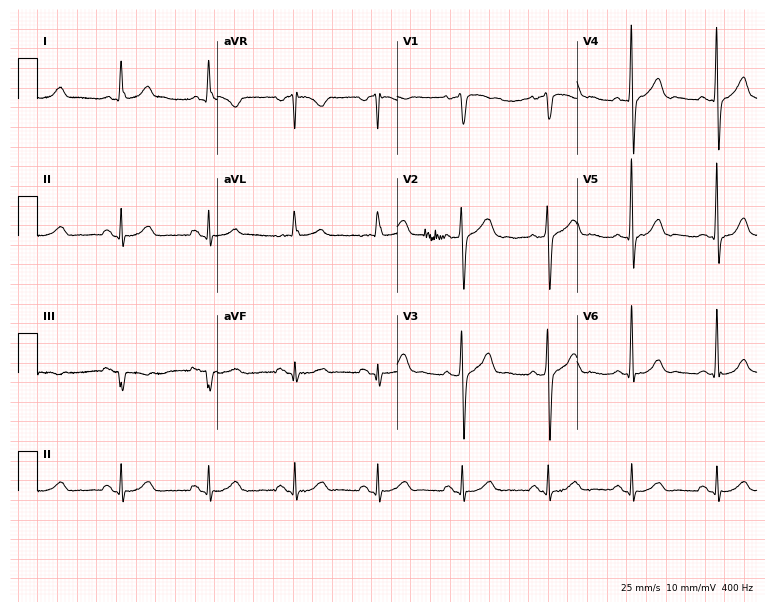
12-lead ECG from a 65-year-old man. Labelled as a normal ECG.